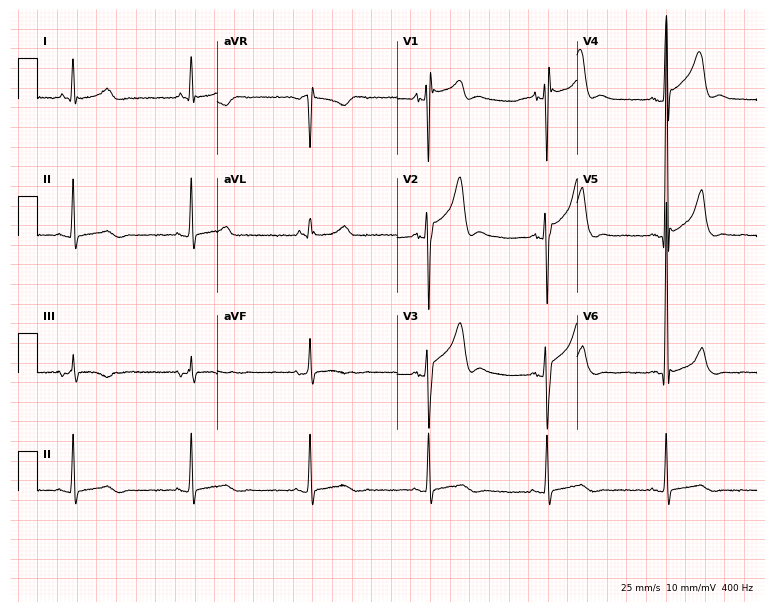
ECG (7.3-second recording at 400 Hz) — a female, 54 years old. Screened for six findings — first-degree AV block, right bundle branch block, left bundle branch block, sinus bradycardia, atrial fibrillation, sinus tachycardia — none is recorded.